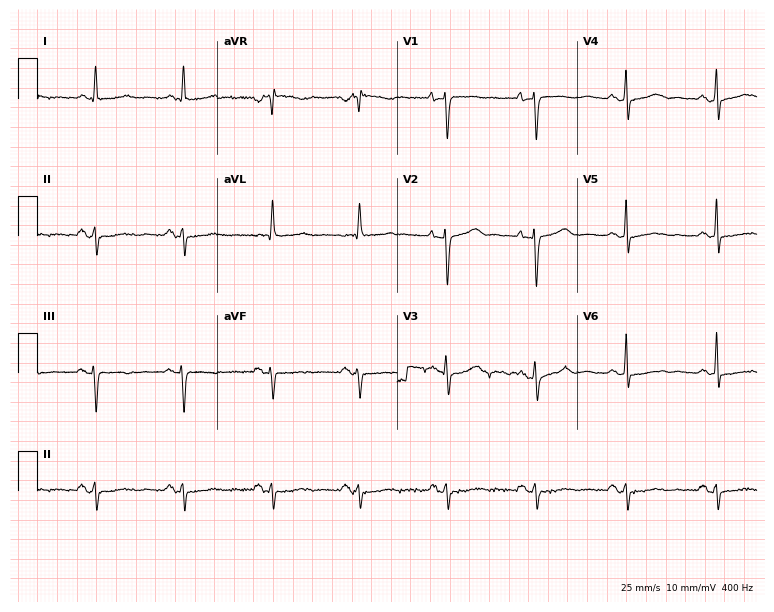
12-lead ECG from a female, 63 years old. No first-degree AV block, right bundle branch block, left bundle branch block, sinus bradycardia, atrial fibrillation or sinus tachycardia recorded for this tracing.